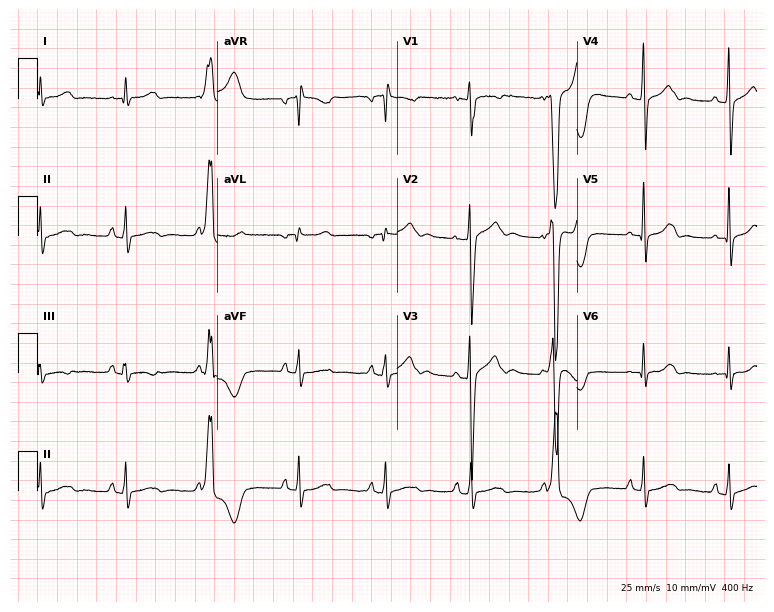
Electrocardiogram, a 27-year-old man. Of the six screened findings (first-degree AV block, right bundle branch block, left bundle branch block, sinus bradycardia, atrial fibrillation, sinus tachycardia), none is recorded.